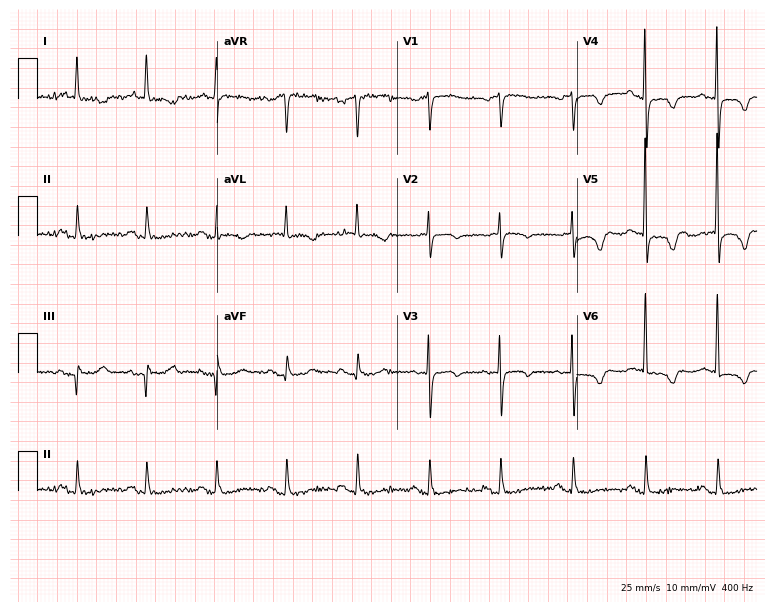
12-lead ECG from a 76-year-old female (7.3-second recording at 400 Hz). No first-degree AV block, right bundle branch block (RBBB), left bundle branch block (LBBB), sinus bradycardia, atrial fibrillation (AF) or sinus tachycardia recorded for this tracing. Findings outside these six are not listed.